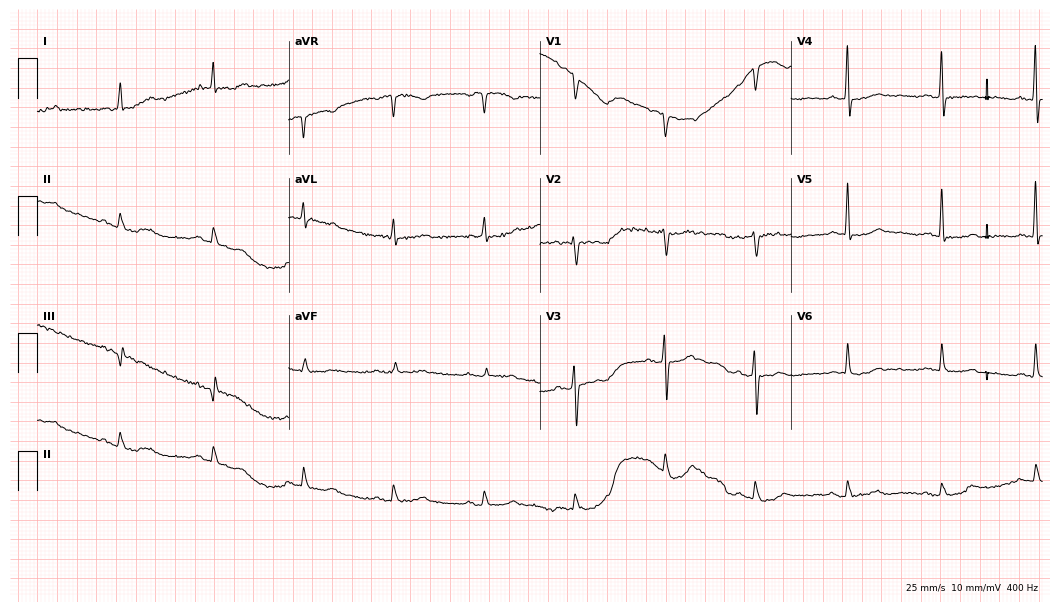
Standard 12-lead ECG recorded from a male, 77 years old. None of these six findings is recorded: first-degree AV block, right bundle branch block (RBBB), left bundle branch block (LBBB), sinus bradycardia, atrial fibrillation (AF), sinus tachycardia.